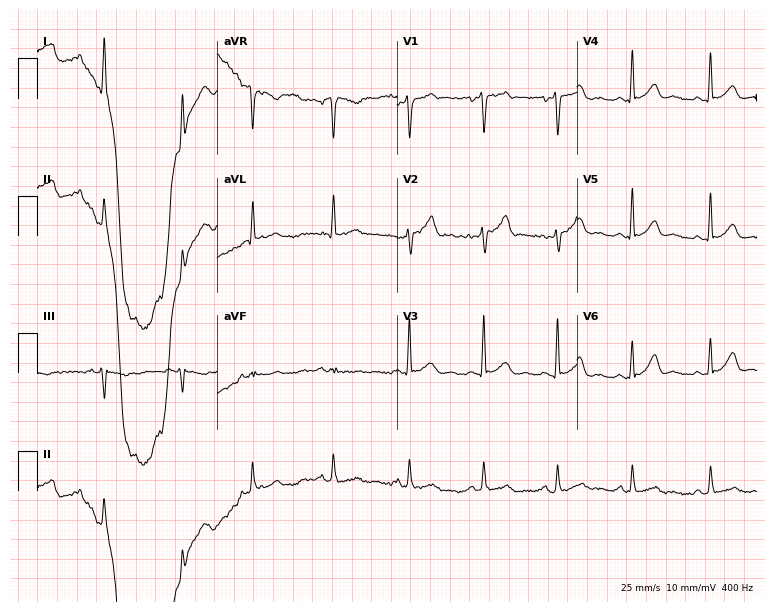
ECG (7.3-second recording at 400 Hz) — a 53-year-old man. Screened for six findings — first-degree AV block, right bundle branch block, left bundle branch block, sinus bradycardia, atrial fibrillation, sinus tachycardia — none is recorded. Other findings, if any, are not listed.